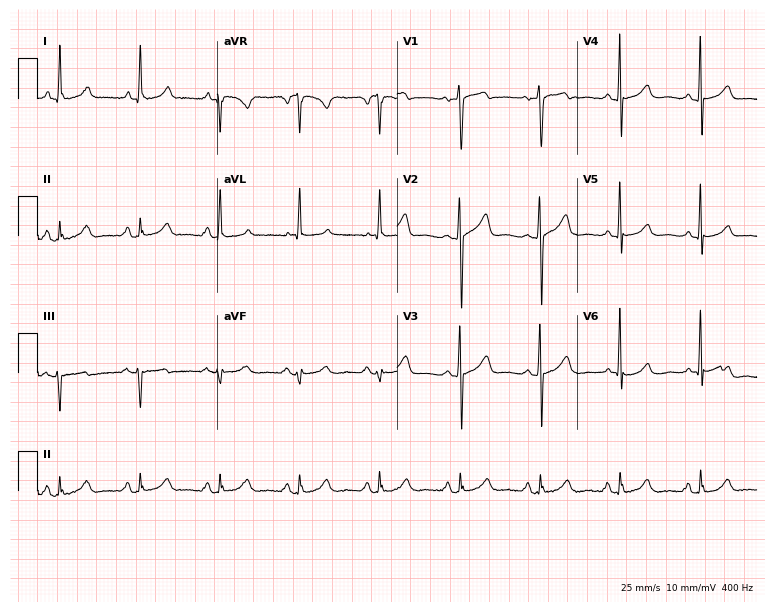
12-lead ECG from a female patient, 78 years old. Recorded interpretation: within normal limits.